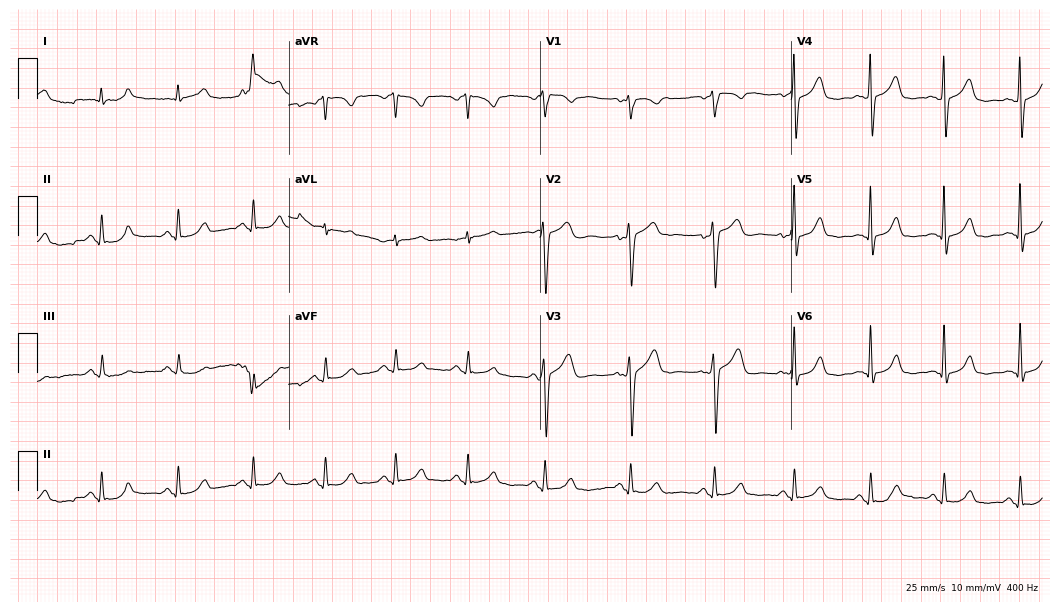
12-lead ECG from a 49-year-old male (10.2-second recording at 400 Hz). Recorded interpretation: within normal limits.